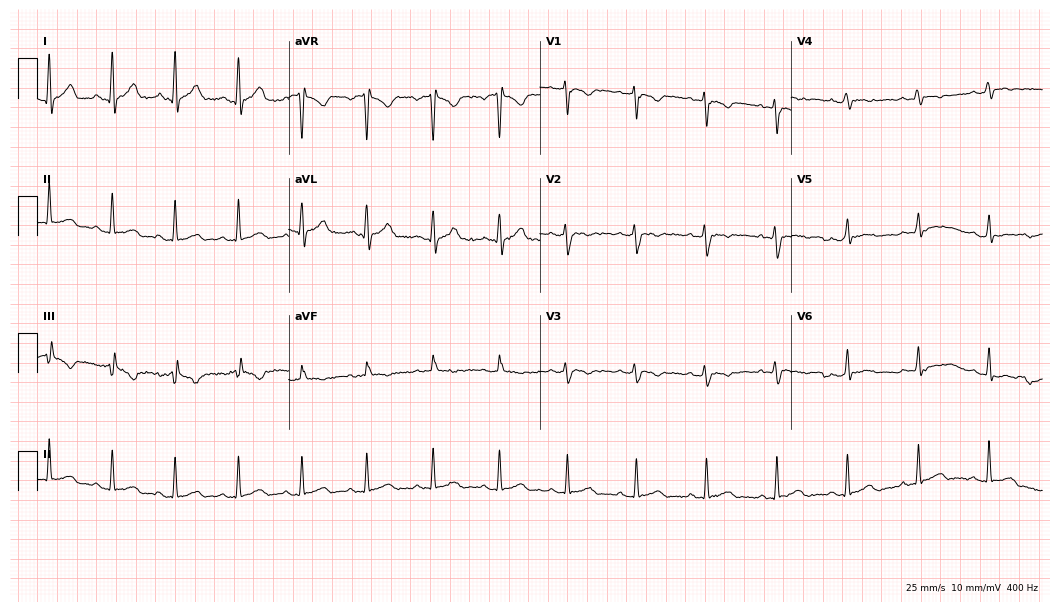
Electrocardiogram (10.2-second recording at 400 Hz), an 18-year-old female patient. Of the six screened findings (first-degree AV block, right bundle branch block, left bundle branch block, sinus bradycardia, atrial fibrillation, sinus tachycardia), none is recorded.